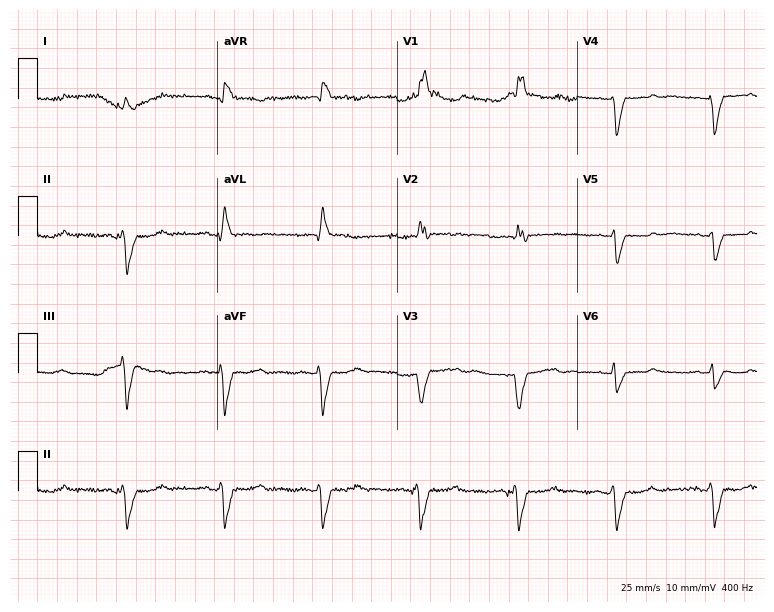
Standard 12-lead ECG recorded from a 43-year-old male patient. The tracing shows right bundle branch block (RBBB).